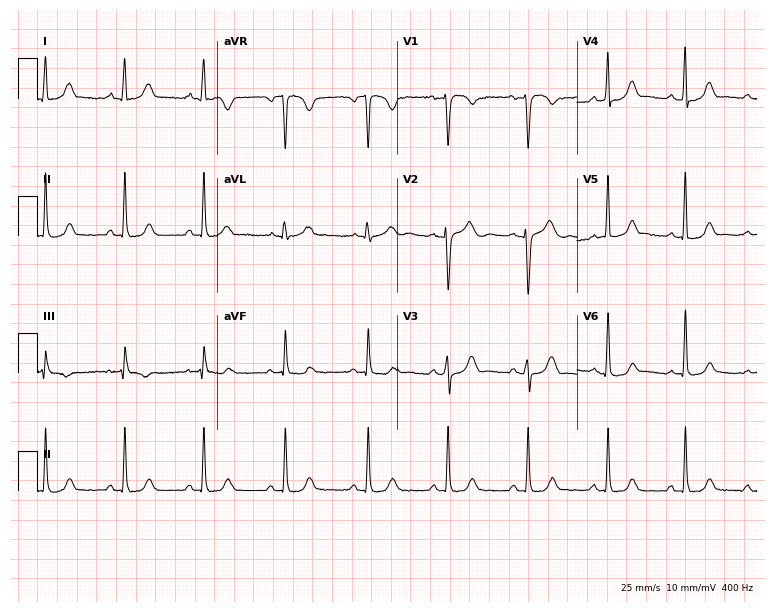
12-lead ECG (7.3-second recording at 400 Hz) from a woman, 33 years old. Screened for six findings — first-degree AV block, right bundle branch block (RBBB), left bundle branch block (LBBB), sinus bradycardia, atrial fibrillation (AF), sinus tachycardia — none is recorded.